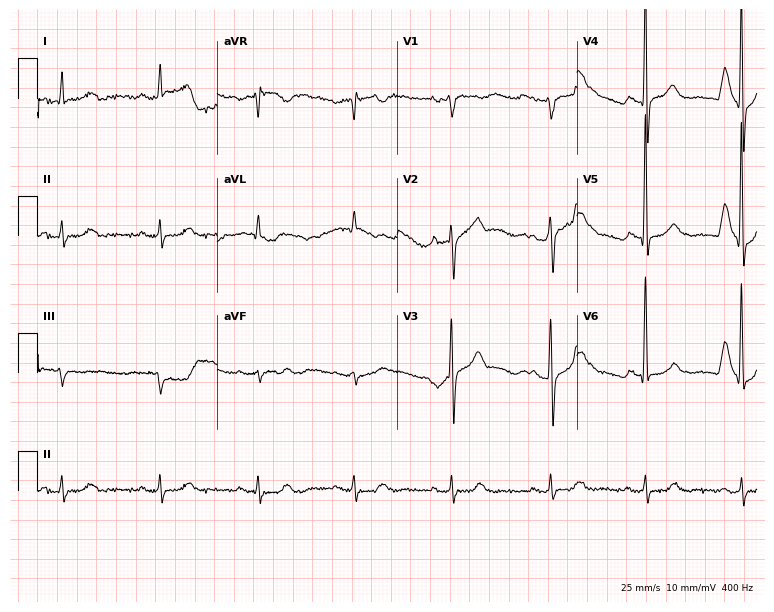
Resting 12-lead electrocardiogram (7.3-second recording at 400 Hz). Patient: a 68-year-old male. The tracing shows first-degree AV block.